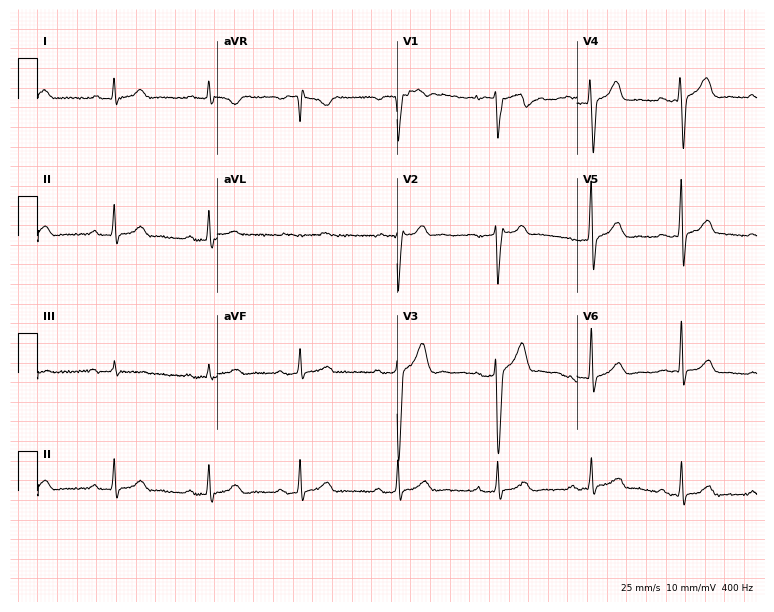
ECG — a 35-year-old male patient. Screened for six findings — first-degree AV block, right bundle branch block, left bundle branch block, sinus bradycardia, atrial fibrillation, sinus tachycardia — none is recorded.